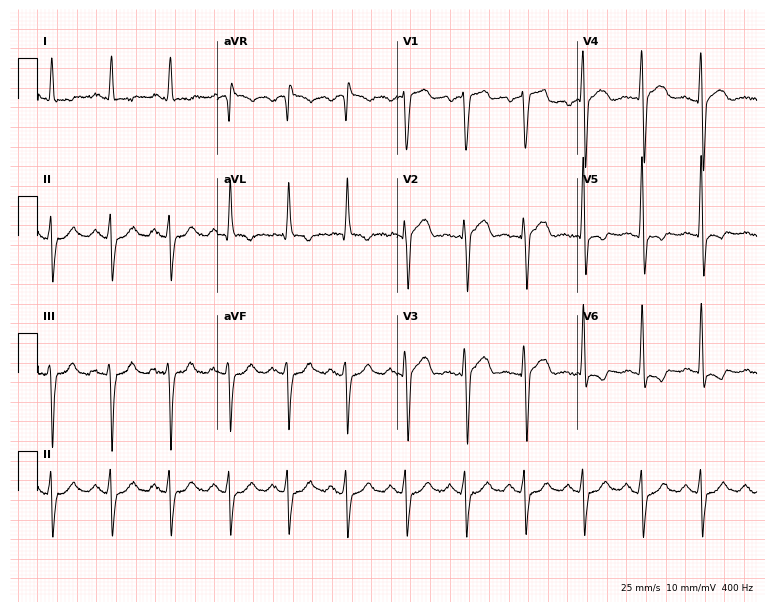
Standard 12-lead ECG recorded from a man, 73 years old (7.3-second recording at 400 Hz). None of these six findings is recorded: first-degree AV block, right bundle branch block, left bundle branch block, sinus bradycardia, atrial fibrillation, sinus tachycardia.